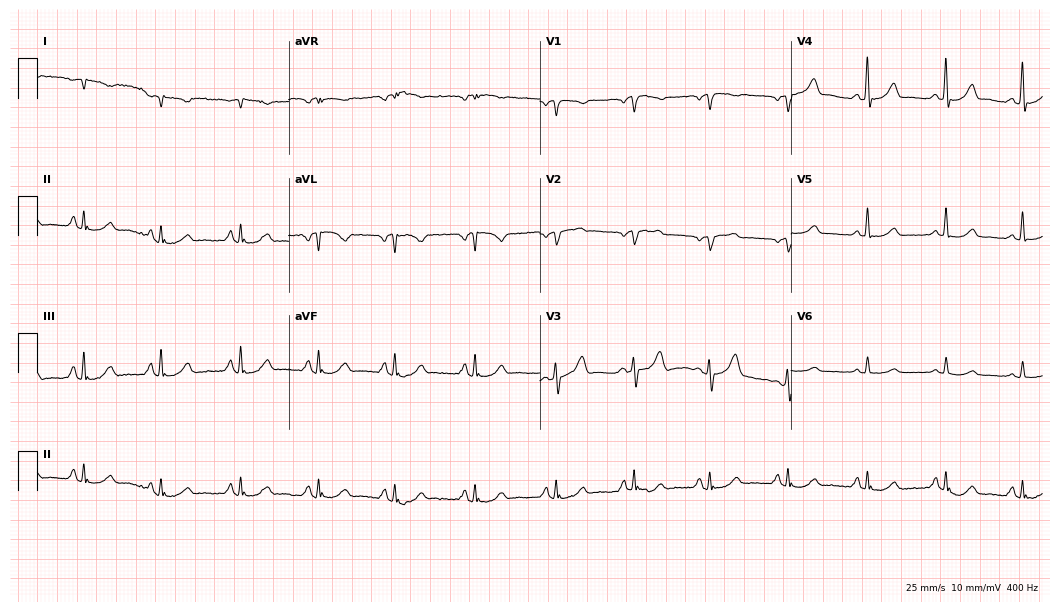
Resting 12-lead electrocardiogram. Patient: a man, 60 years old. None of these six findings is recorded: first-degree AV block, right bundle branch block (RBBB), left bundle branch block (LBBB), sinus bradycardia, atrial fibrillation (AF), sinus tachycardia. Only these six findings were labelled.